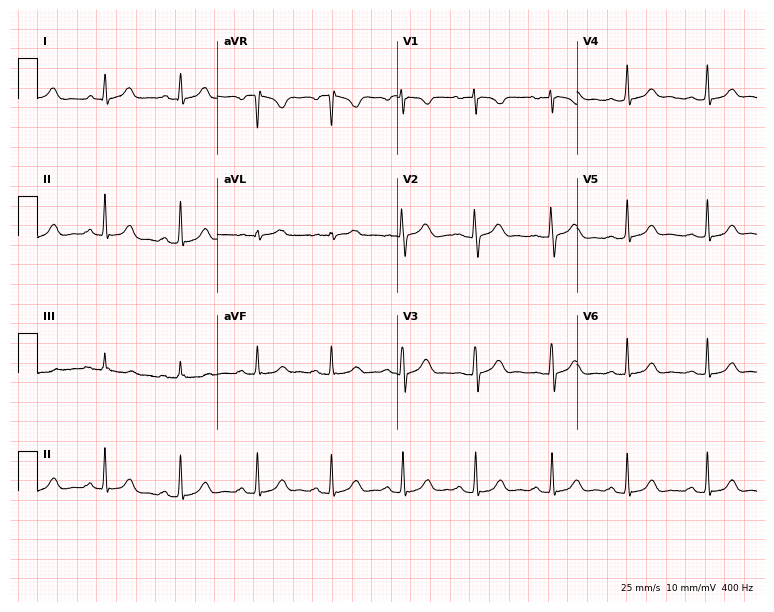
12-lead ECG (7.3-second recording at 400 Hz) from a female, 20 years old. Labelled as a normal ECG.